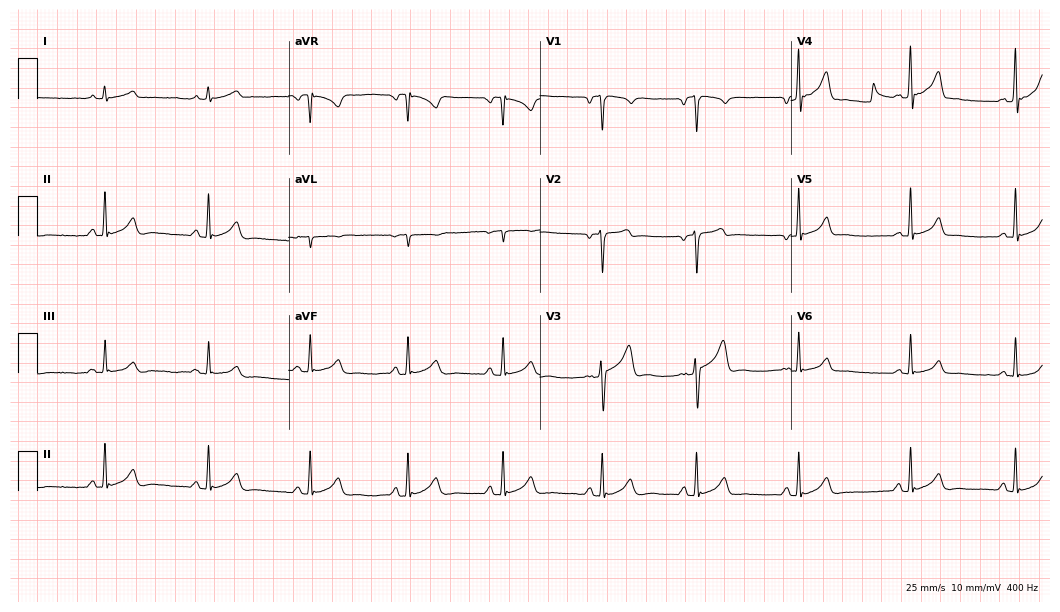
Electrocardiogram (10.2-second recording at 400 Hz), a 38-year-old male. Of the six screened findings (first-degree AV block, right bundle branch block, left bundle branch block, sinus bradycardia, atrial fibrillation, sinus tachycardia), none is recorded. Other findings, if any, are not listed.